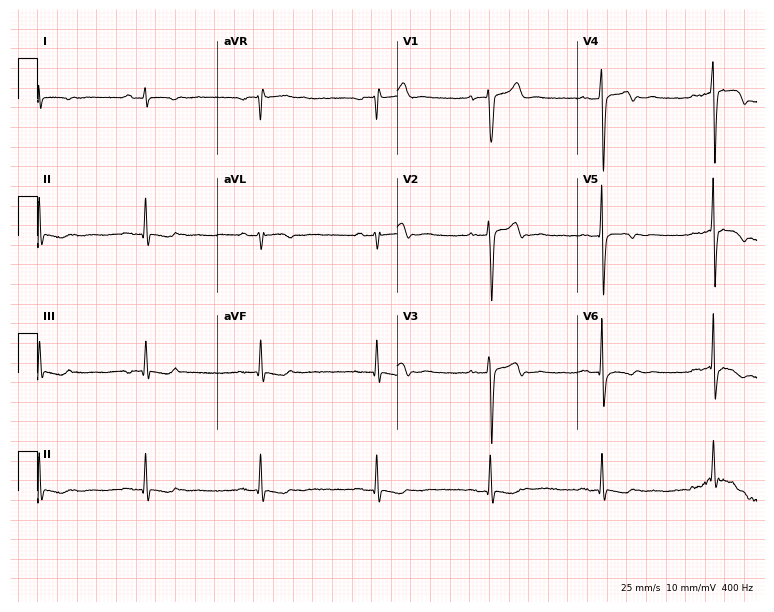
Standard 12-lead ECG recorded from a 39-year-old male (7.3-second recording at 400 Hz). None of these six findings is recorded: first-degree AV block, right bundle branch block, left bundle branch block, sinus bradycardia, atrial fibrillation, sinus tachycardia.